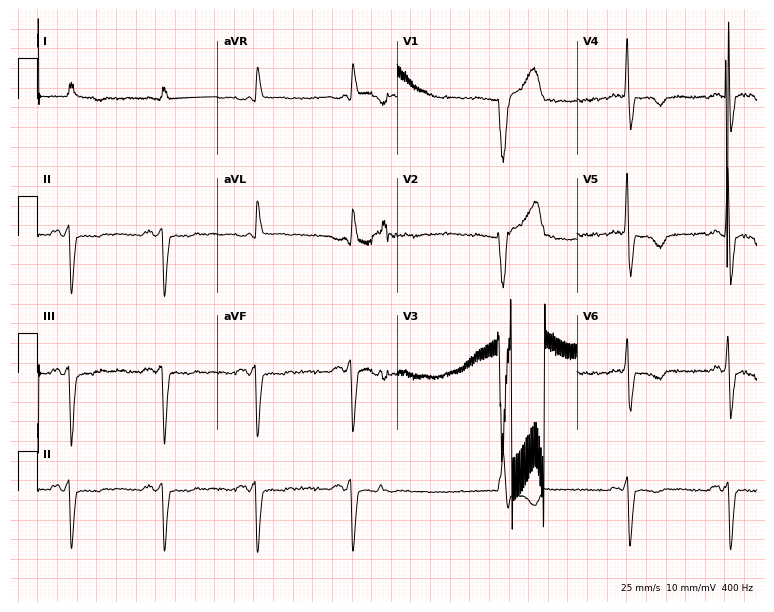
ECG (7.3-second recording at 400 Hz) — a man, 64 years old. Screened for six findings — first-degree AV block, right bundle branch block (RBBB), left bundle branch block (LBBB), sinus bradycardia, atrial fibrillation (AF), sinus tachycardia — none is recorded. Findings outside these six are not listed.